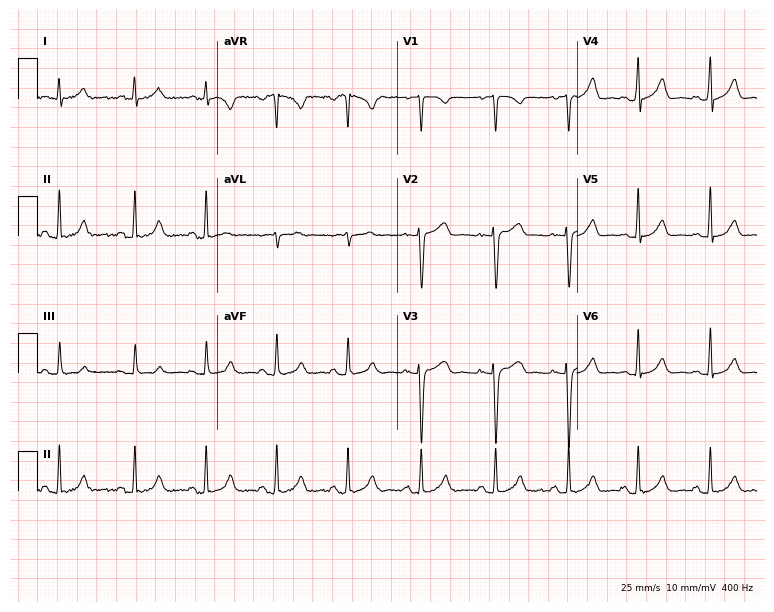
Standard 12-lead ECG recorded from a 30-year-old female patient (7.3-second recording at 400 Hz). Read as a normal ECG.